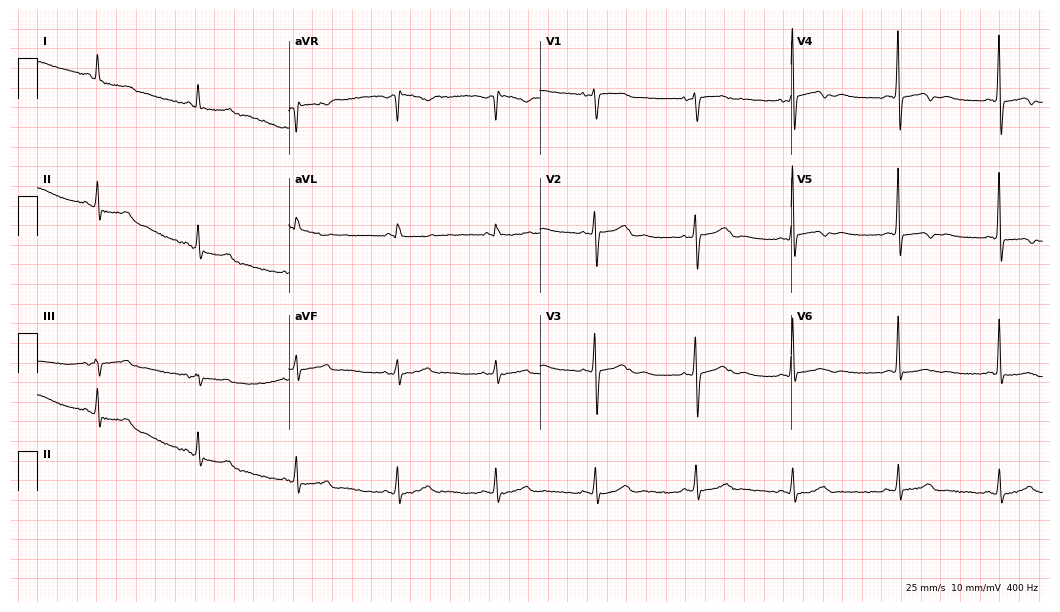
ECG — a 52-year-old female. Screened for six findings — first-degree AV block, right bundle branch block, left bundle branch block, sinus bradycardia, atrial fibrillation, sinus tachycardia — none is recorded.